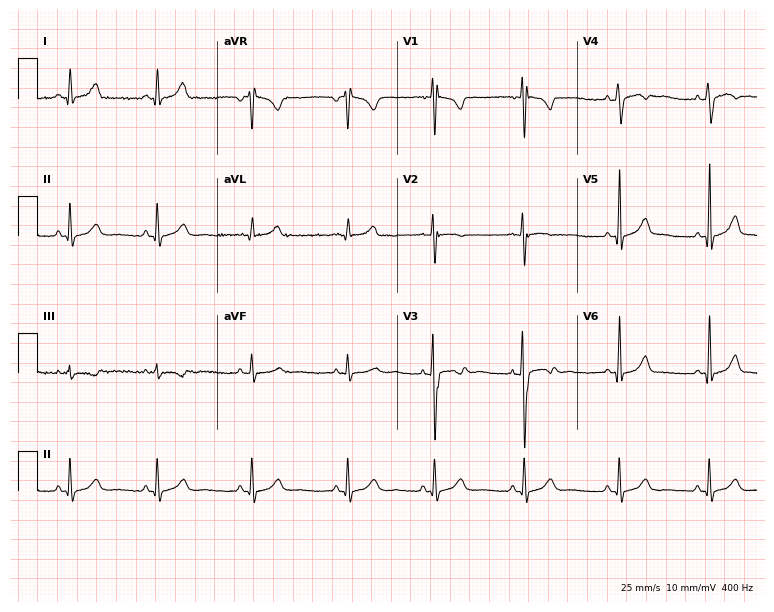
12-lead ECG from a female, 30 years old. No first-degree AV block, right bundle branch block, left bundle branch block, sinus bradycardia, atrial fibrillation or sinus tachycardia recorded for this tracing.